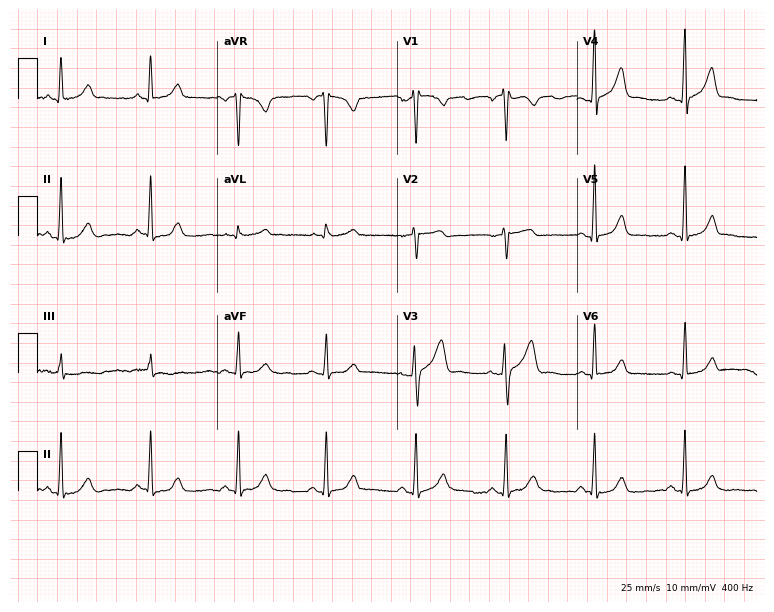
Electrocardiogram, a female, 48 years old. Of the six screened findings (first-degree AV block, right bundle branch block, left bundle branch block, sinus bradycardia, atrial fibrillation, sinus tachycardia), none is recorded.